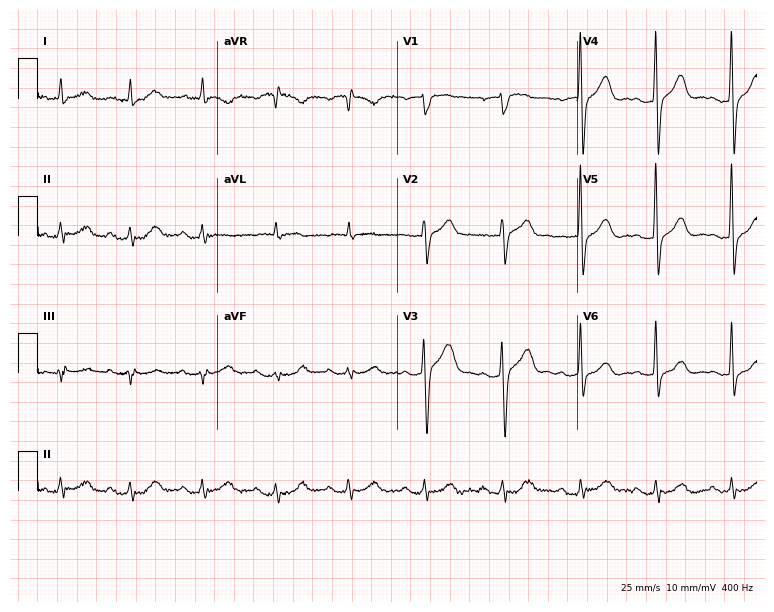
Electrocardiogram (7.3-second recording at 400 Hz), a male patient, 60 years old. Of the six screened findings (first-degree AV block, right bundle branch block, left bundle branch block, sinus bradycardia, atrial fibrillation, sinus tachycardia), none is recorded.